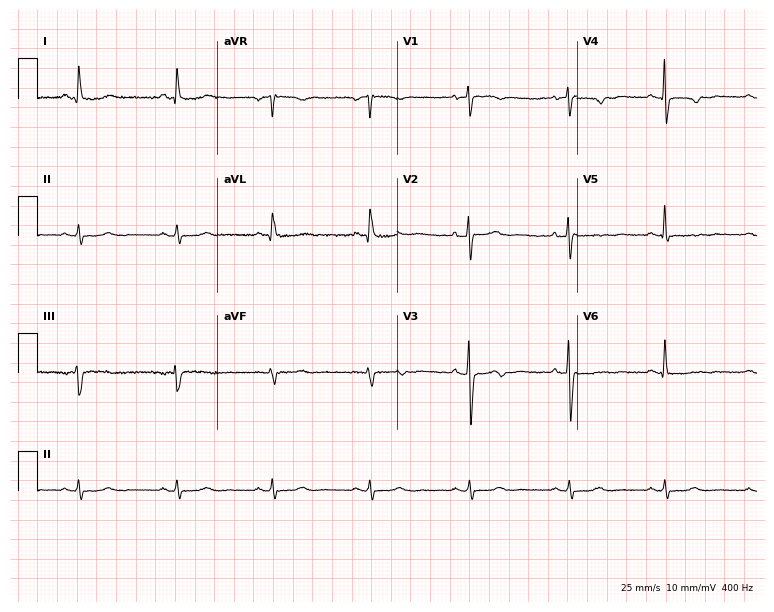
ECG (7.3-second recording at 400 Hz) — a female patient, 52 years old. Screened for six findings — first-degree AV block, right bundle branch block (RBBB), left bundle branch block (LBBB), sinus bradycardia, atrial fibrillation (AF), sinus tachycardia — none is recorded. Findings outside these six are not listed.